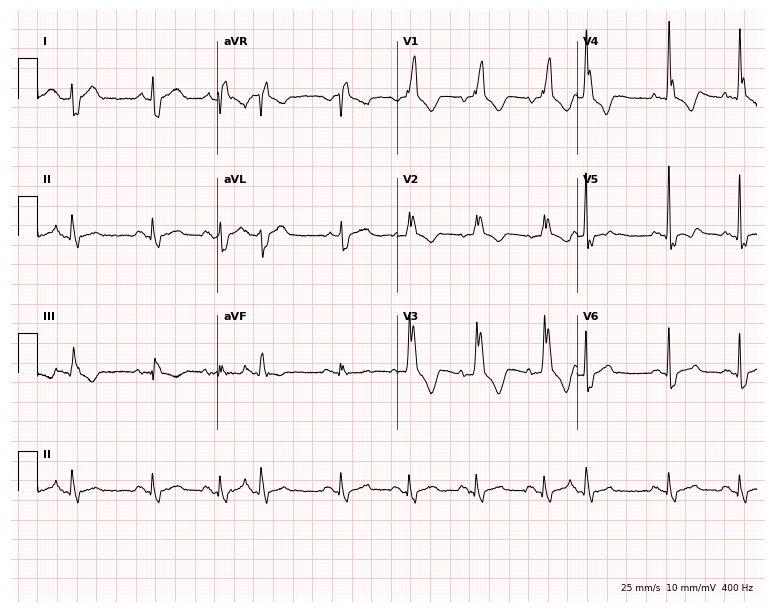
ECG (7.3-second recording at 400 Hz) — a 61-year-old male patient. Screened for six findings — first-degree AV block, right bundle branch block, left bundle branch block, sinus bradycardia, atrial fibrillation, sinus tachycardia — none is recorded.